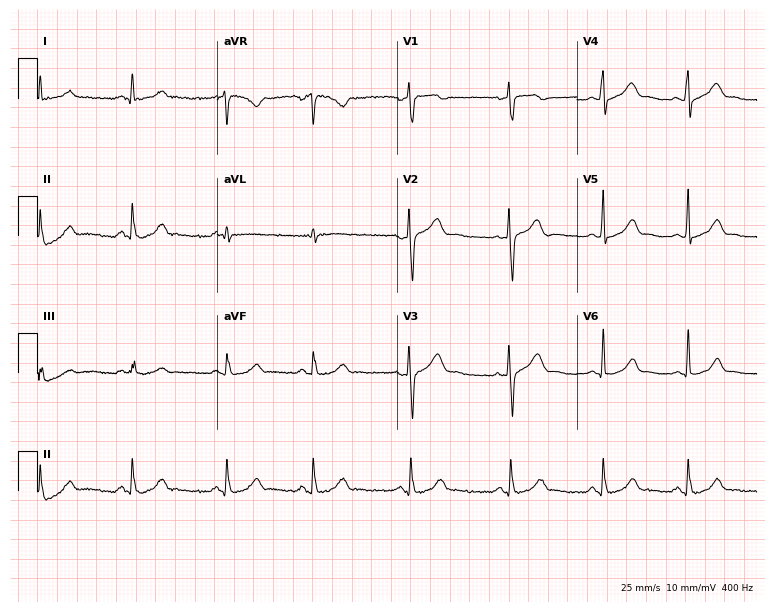
ECG (7.3-second recording at 400 Hz) — a 39-year-old female. Labelled as a normal ECG.